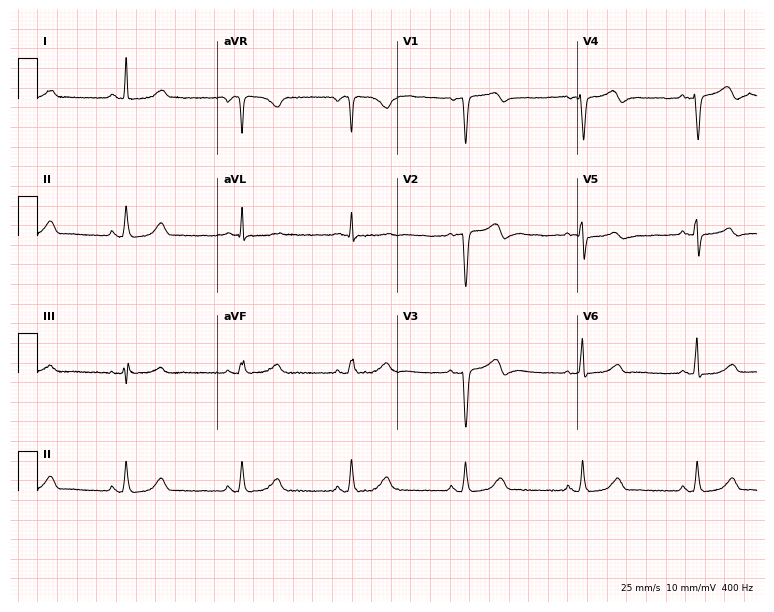
Standard 12-lead ECG recorded from a 54-year-old female. None of these six findings is recorded: first-degree AV block, right bundle branch block (RBBB), left bundle branch block (LBBB), sinus bradycardia, atrial fibrillation (AF), sinus tachycardia.